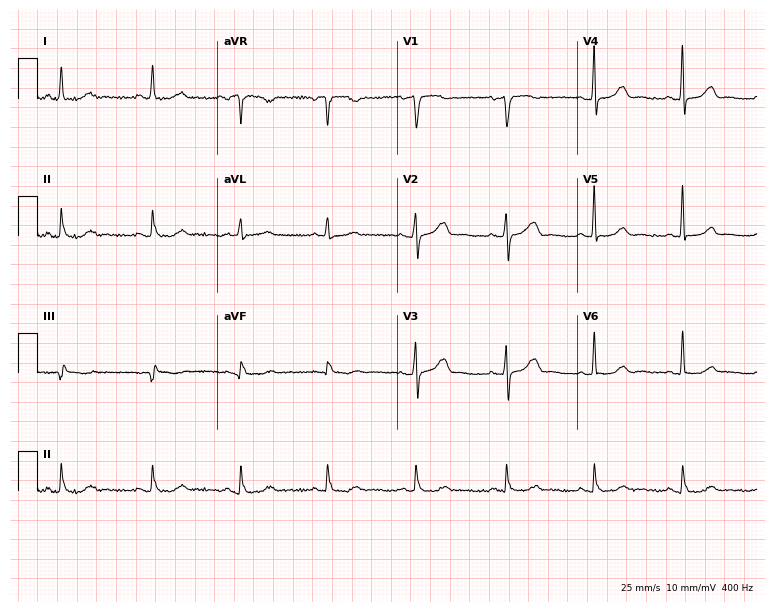
Standard 12-lead ECG recorded from a female, 68 years old (7.3-second recording at 400 Hz). None of these six findings is recorded: first-degree AV block, right bundle branch block, left bundle branch block, sinus bradycardia, atrial fibrillation, sinus tachycardia.